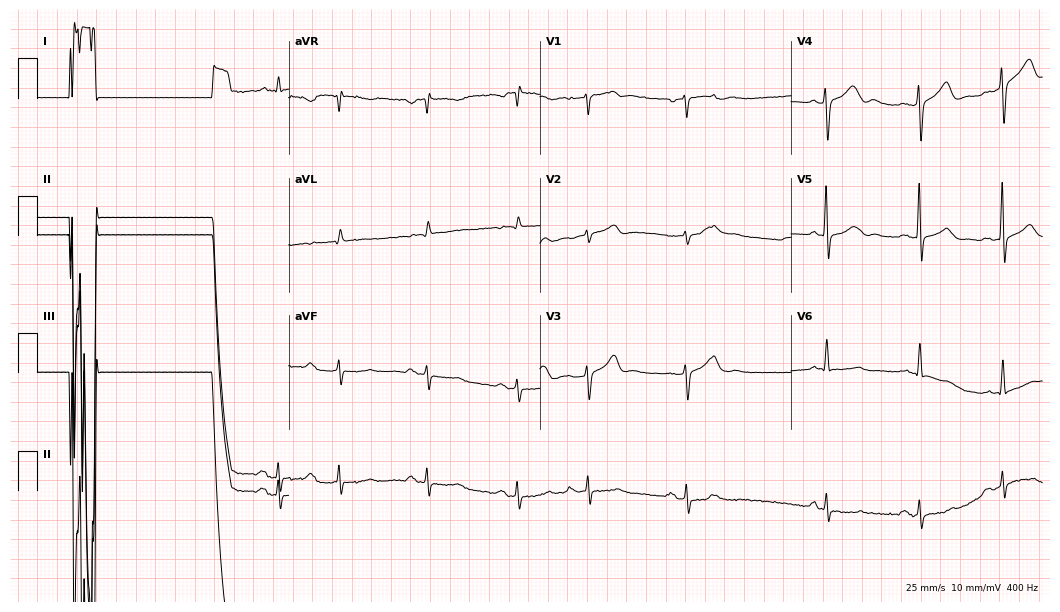
ECG — a 74-year-old male patient. Screened for six findings — first-degree AV block, right bundle branch block, left bundle branch block, sinus bradycardia, atrial fibrillation, sinus tachycardia — none is recorded.